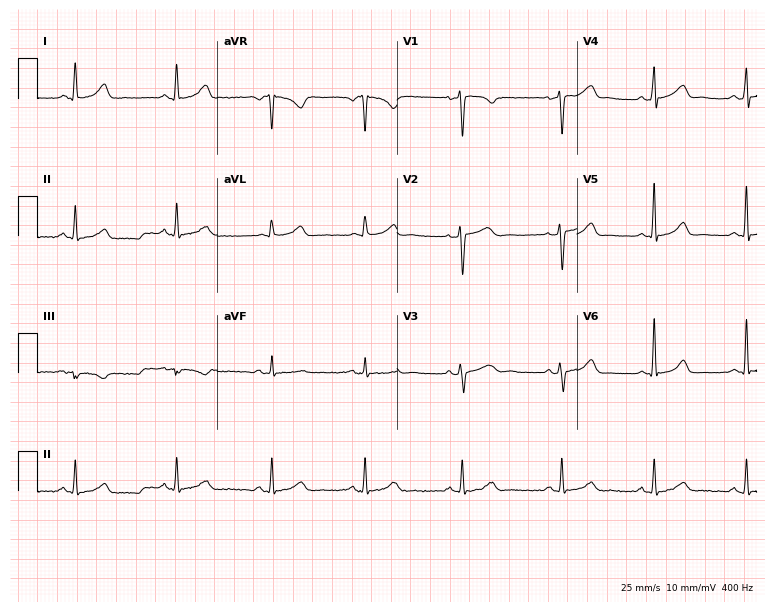
Resting 12-lead electrocardiogram (7.3-second recording at 400 Hz). Patient: a female, 41 years old. None of these six findings is recorded: first-degree AV block, right bundle branch block, left bundle branch block, sinus bradycardia, atrial fibrillation, sinus tachycardia. Only these six findings were labelled.